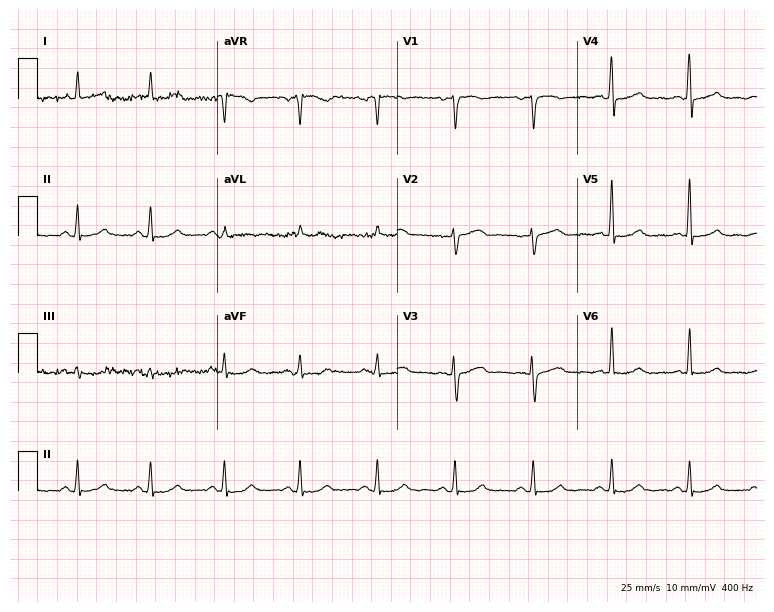
12-lead ECG from a 51-year-old woman. No first-degree AV block, right bundle branch block, left bundle branch block, sinus bradycardia, atrial fibrillation or sinus tachycardia recorded for this tracing.